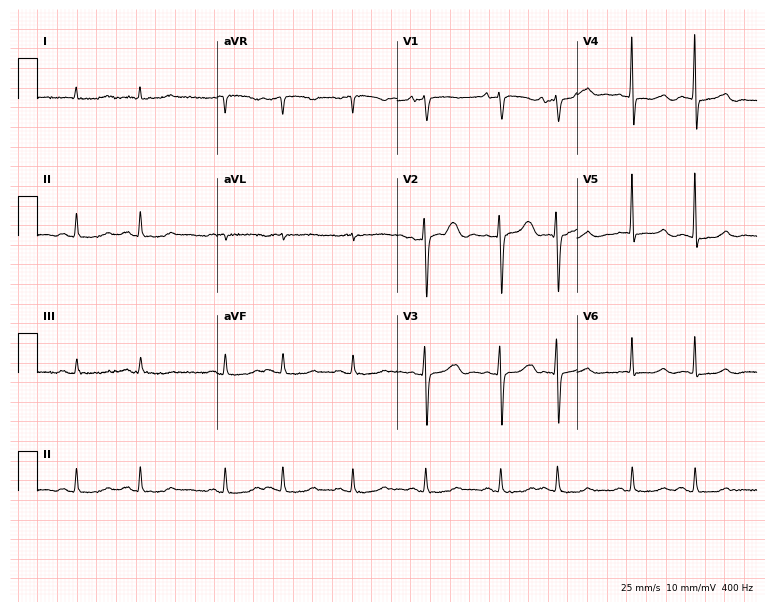
Standard 12-lead ECG recorded from a woman, 82 years old (7.3-second recording at 400 Hz). None of these six findings is recorded: first-degree AV block, right bundle branch block, left bundle branch block, sinus bradycardia, atrial fibrillation, sinus tachycardia.